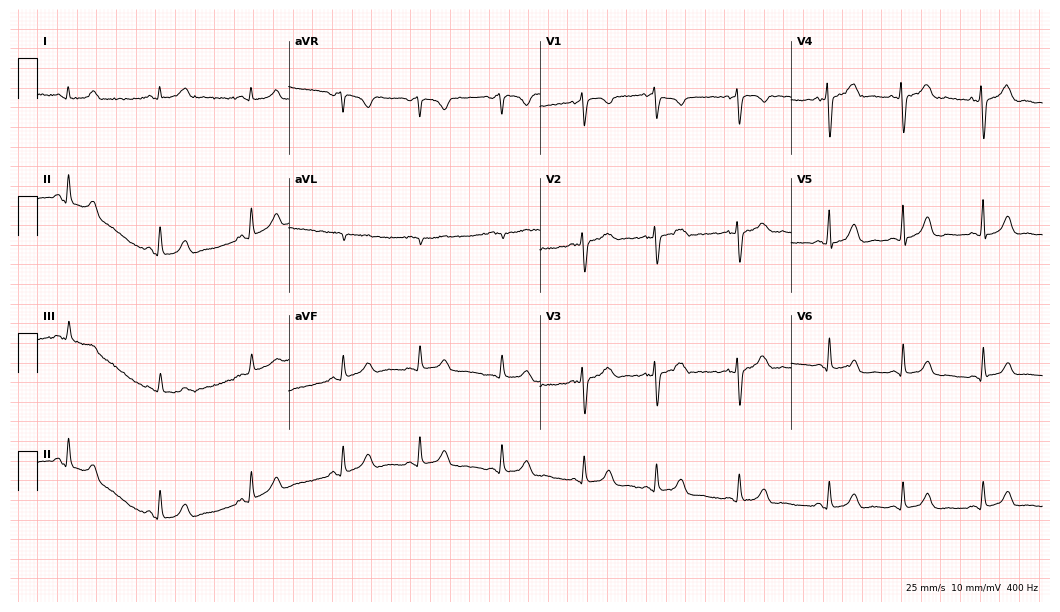
12-lead ECG (10.2-second recording at 400 Hz) from a woman, 31 years old. Screened for six findings — first-degree AV block, right bundle branch block, left bundle branch block, sinus bradycardia, atrial fibrillation, sinus tachycardia — none is recorded.